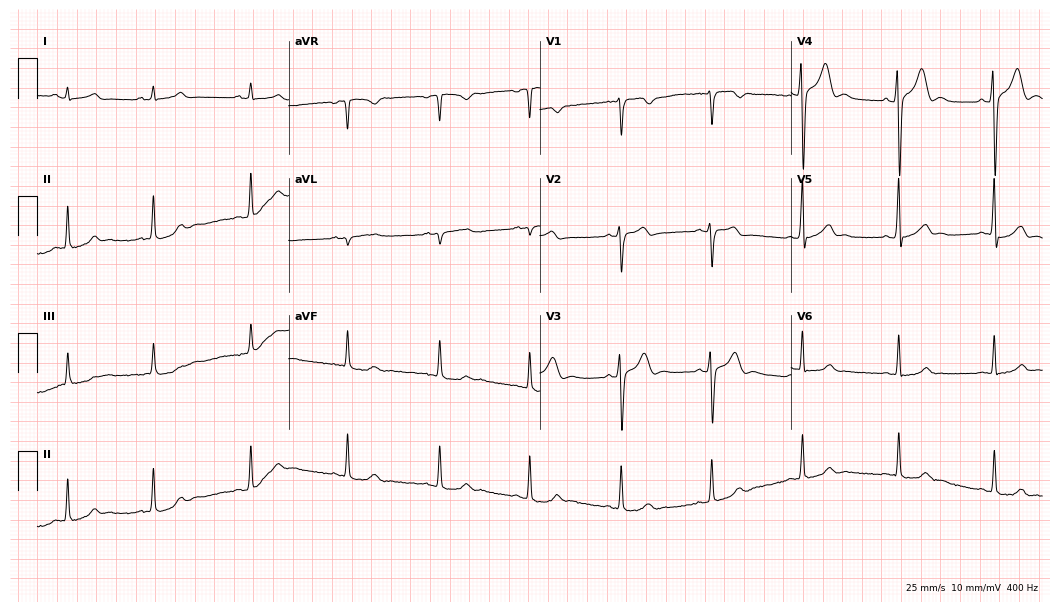
12-lead ECG from a male, 20 years old. Recorded interpretation: within normal limits.